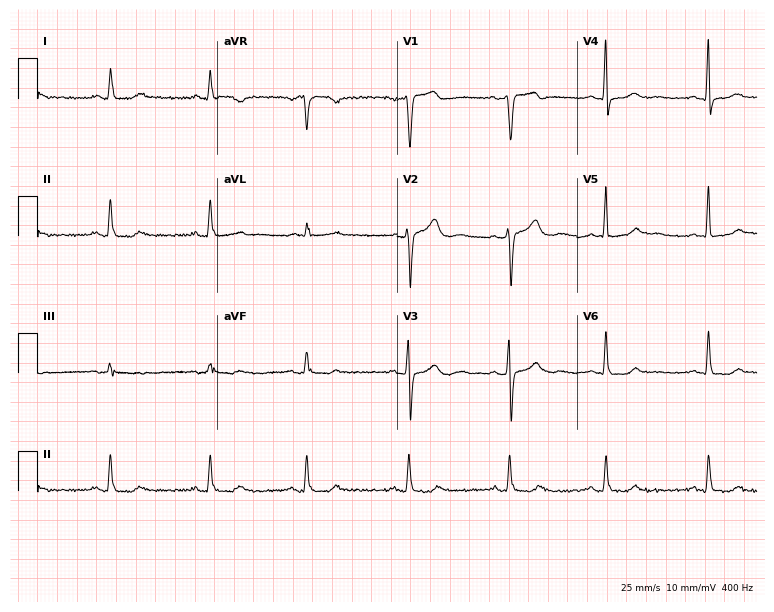
Standard 12-lead ECG recorded from a 67-year-old female (7.3-second recording at 400 Hz). None of these six findings is recorded: first-degree AV block, right bundle branch block, left bundle branch block, sinus bradycardia, atrial fibrillation, sinus tachycardia. Findings outside these six are not listed.